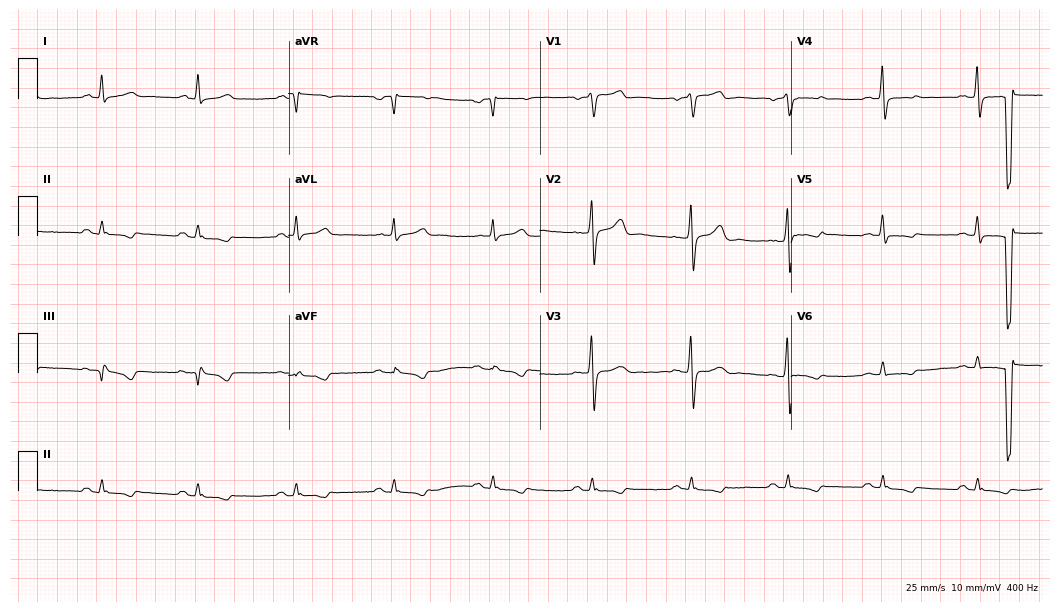
Resting 12-lead electrocardiogram. Patient: a man, 57 years old. None of these six findings is recorded: first-degree AV block, right bundle branch block (RBBB), left bundle branch block (LBBB), sinus bradycardia, atrial fibrillation (AF), sinus tachycardia.